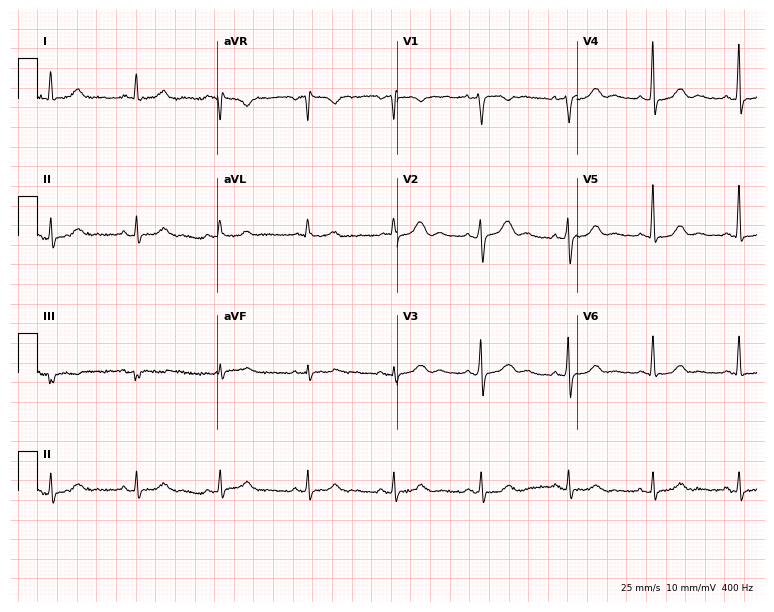
Standard 12-lead ECG recorded from a female patient, 57 years old. Read as a normal ECG.